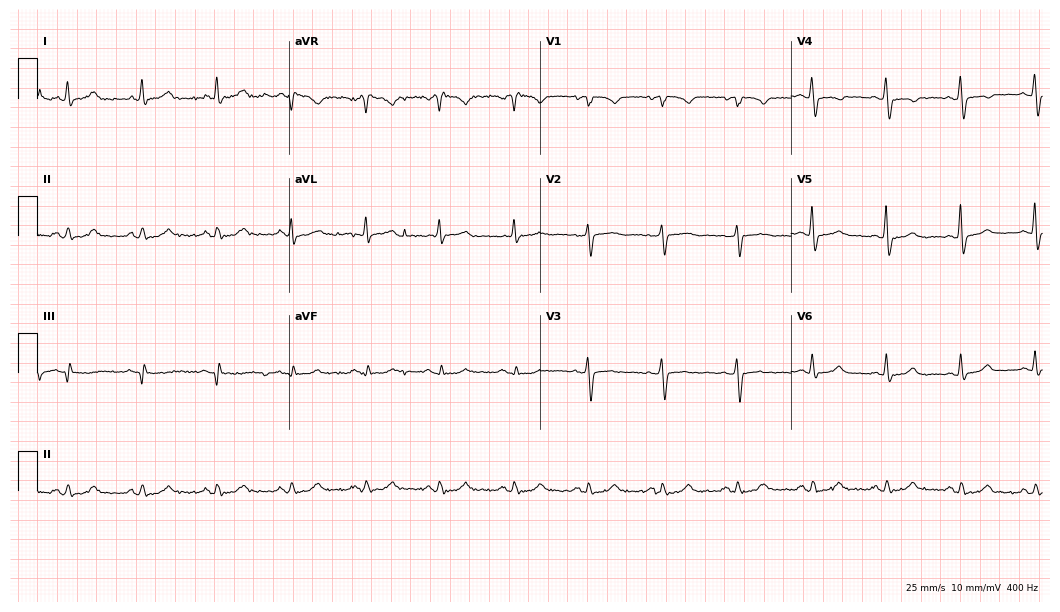
Electrocardiogram, a woman, 56 years old. Overall reading on record: normal ECG.